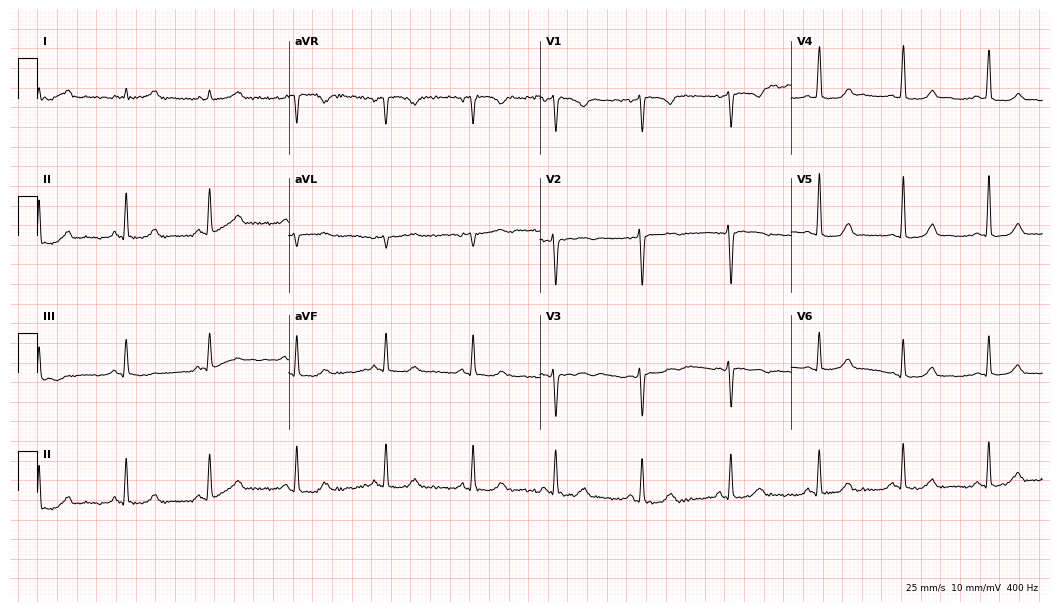
Electrocardiogram, a 32-year-old female. Overall reading on record: normal ECG.